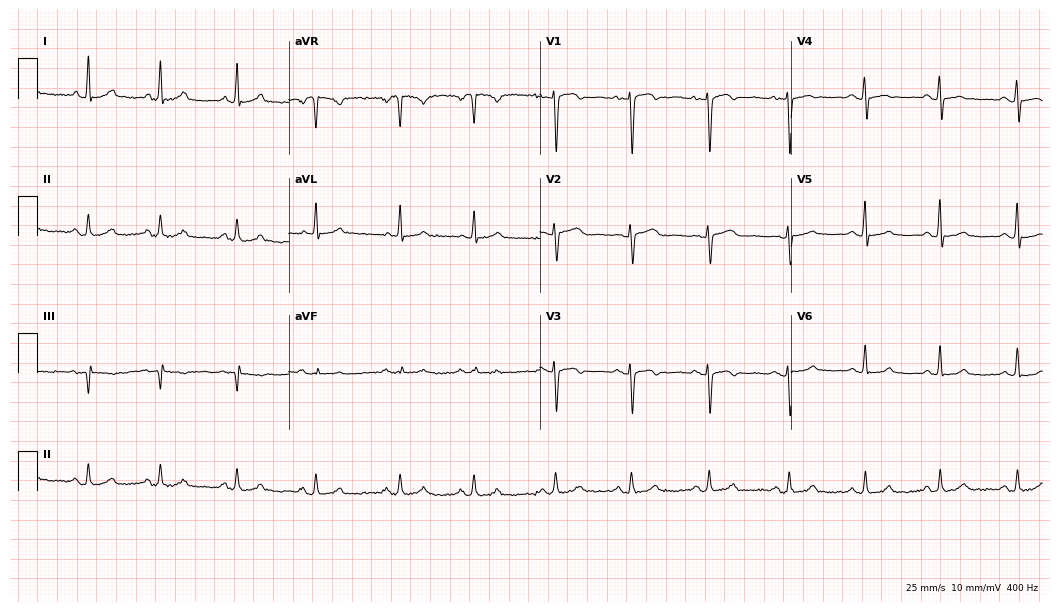
Electrocardiogram, a female patient, 47 years old. Of the six screened findings (first-degree AV block, right bundle branch block, left bundle branch block, sinus bradycardia, atrial fibrillation, sinus tachycardia), none is recorded. Findings outside these six are not listed.